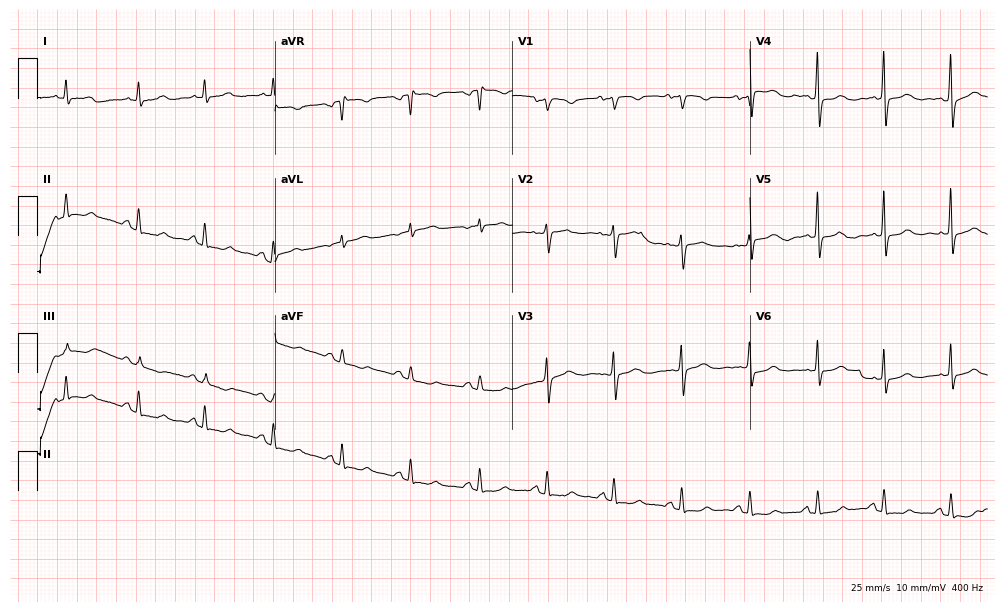
12-lead ECG from a female patient, 75 years old (9.7-second recording at 400 Hz). Recorded interpretation: within normal limits.